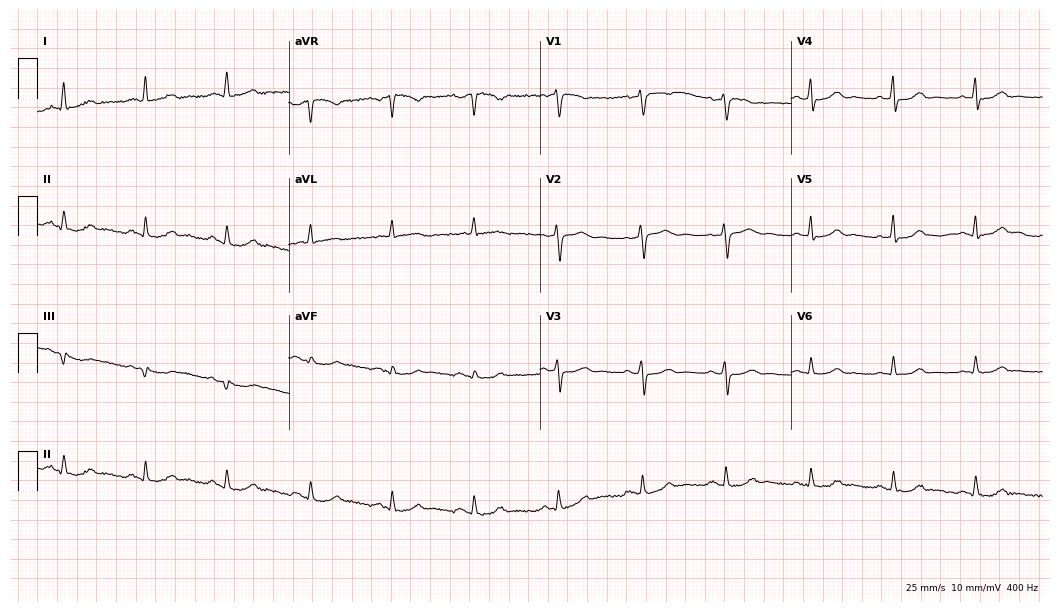
12-lead ECG from a 54-year-old female patient (10.2-second recording at 400 Hz). Recorded interpretation: within normal limits.